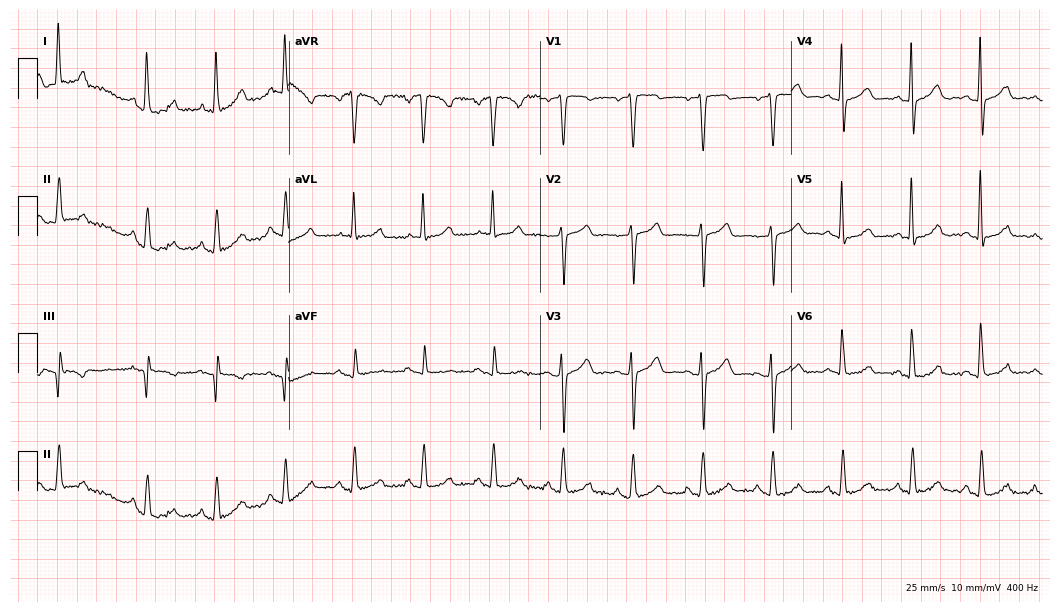
12-lead ECG from a woman, 66 years old. Recorded interpretation: within normal limits.